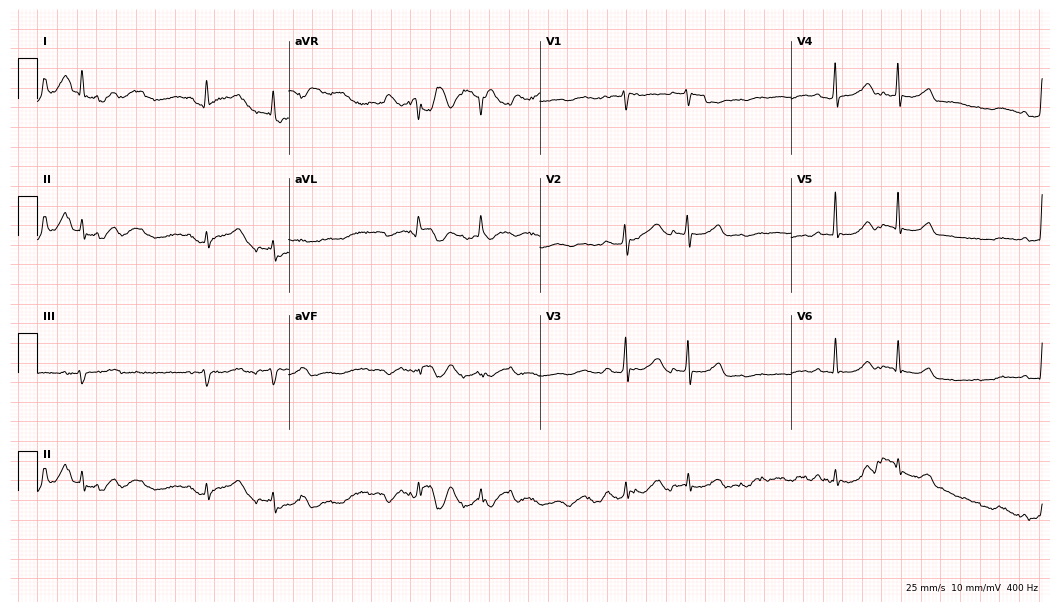
12-lead ECG (10.2-second recording at 400 Hz) from a male patient, 83 years old. Screened for six findings — first-degree AV block, right bundle branch block, left bundle branch block, sinus bradycardia, atrial fibrillation, sinus tachycardia — none is recorded. Only these six findings were labelled.